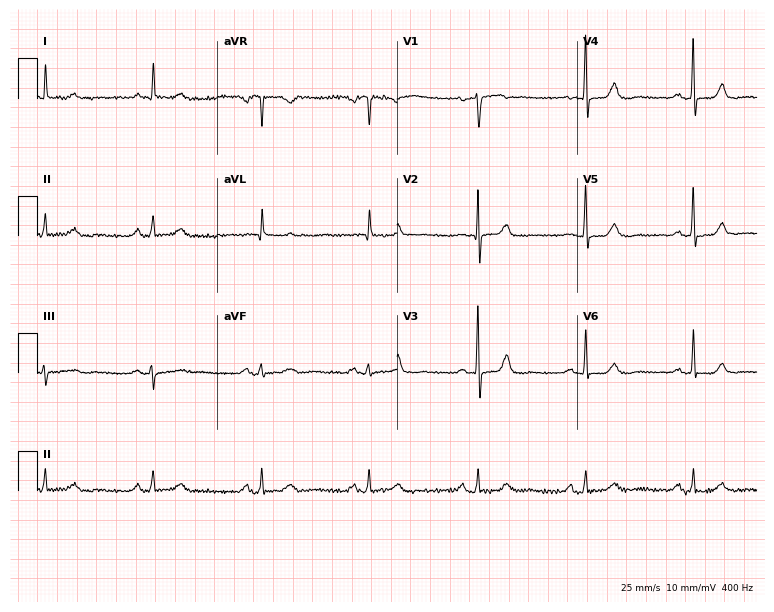
ECG — a 64-year-old female patient. Screened for six findings — first-degree AV block, right bundle branch block, left bundle branch block, sinus bradycardia, atrial fibrillation, sinus tachycardia — none is recorded. Only these six findings were labelled.